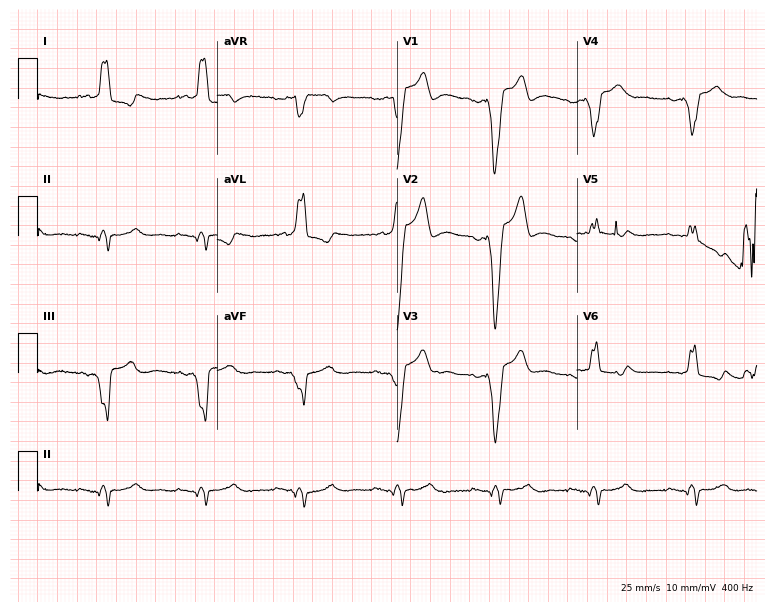
12-lead ECG (7.3-second recording at 400 Hz) from a 68-year-old male patient. Findings include left bundle branch block.